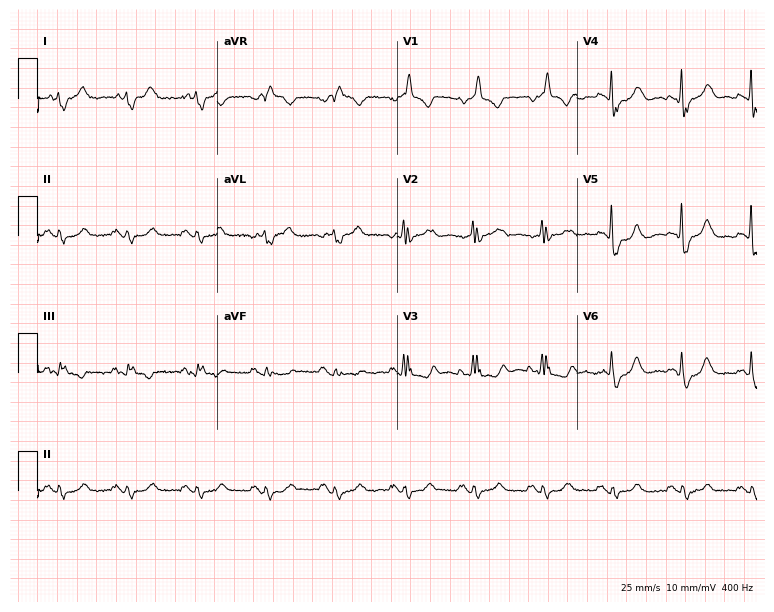
Resting 12-lead electrocardiogram. Patient: a man, 66 years old. The tracing shows right bundle branch block (RBBB).